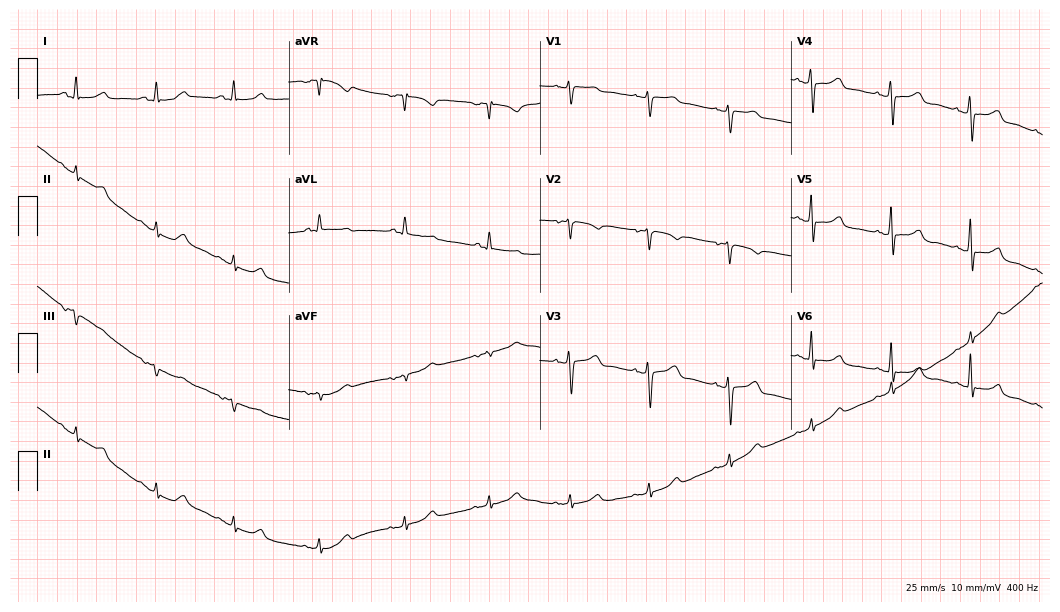
Resting 12-lead electrocardiogram (10.2-second recording at 400 Hz). Patient: a 66-year-old female. Read as a normal ECG.